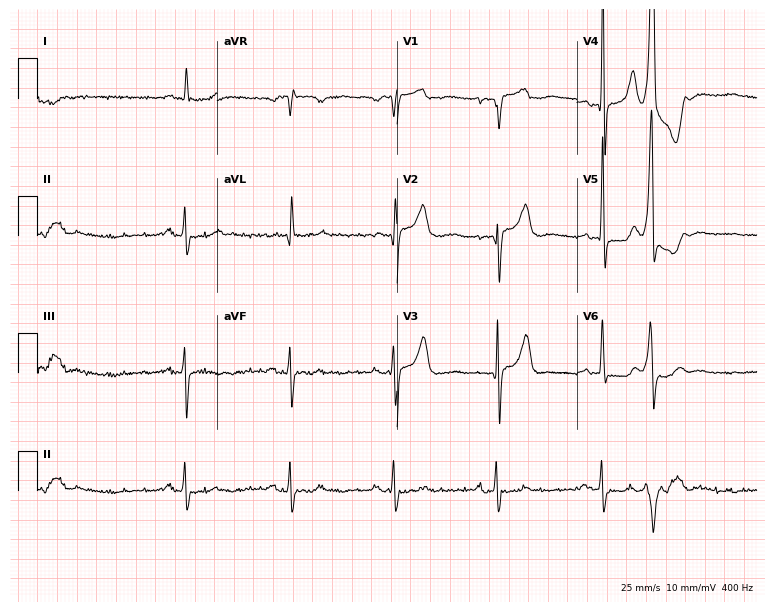
12-lead ECG from a man, 83 years old (7.3-second recording at 400 Hz). No first-degree AV block, right bundle branch block, left bundle branch block, sinus bradycardia, atrial fibrillation or sinus tachycardia recorded for this tracing. Findings outside these six are not listed.